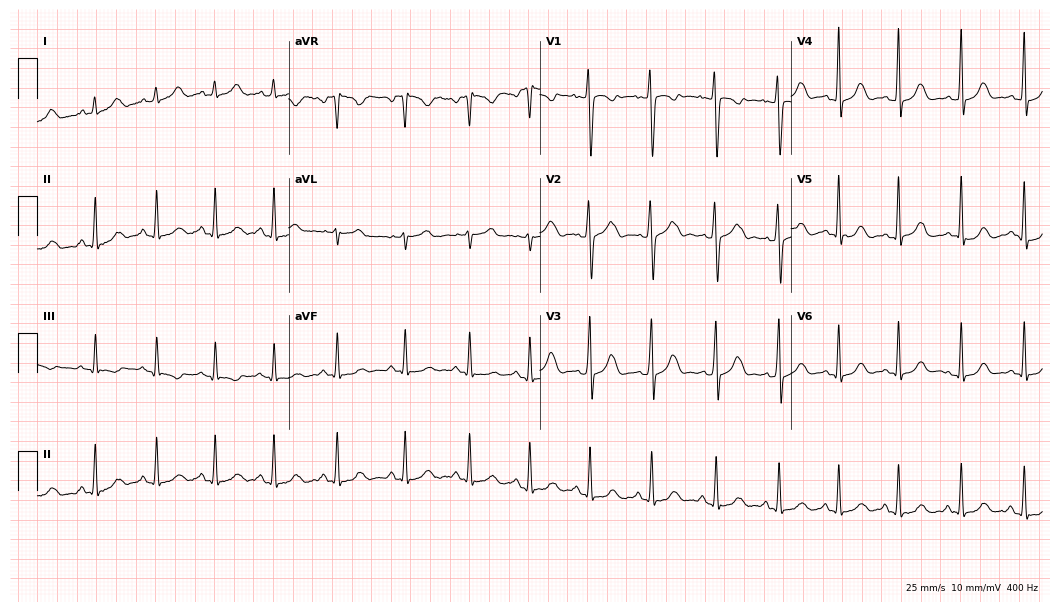
Standard 12-lead ECG recorded from a 21-year-old female patient (10.2-second recording at 400 Hz). None of these six findings is recorded: first-degree AV block, right bundle branch block (RBBB), left bundle branch block (LBBB), sinus bradycardia, atrial fibrillation (AF), sinus tachycardia. Only these six findings were labelled.